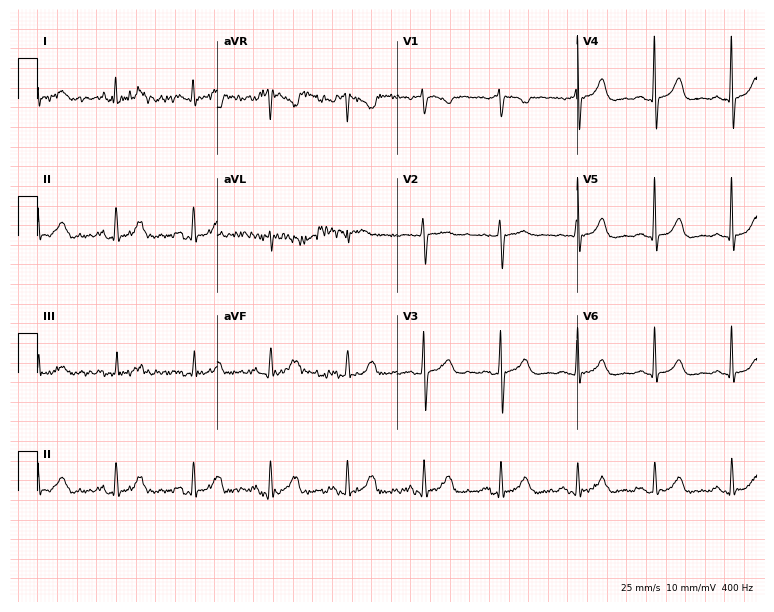
ECG (7.3-second recording at 400 Hz) — a male, 70 years old. Labelled as a normal ECG.